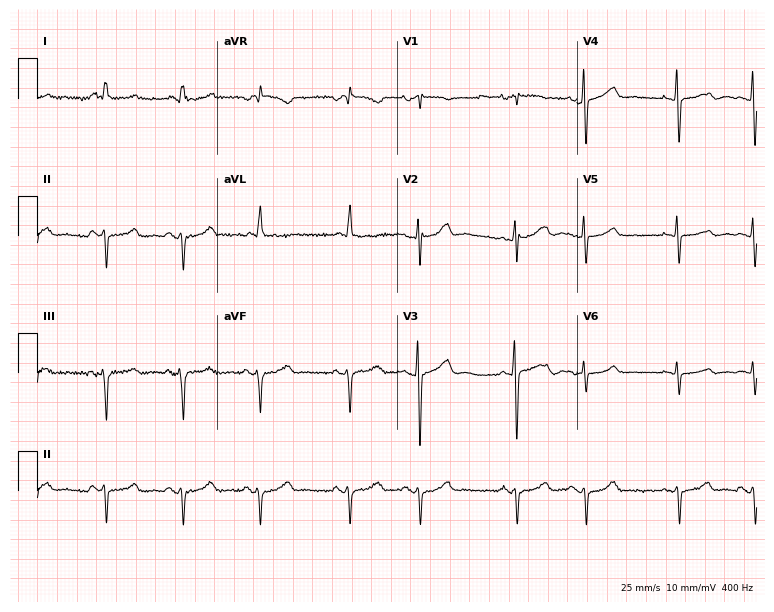
Resting 12-lead electrocardiogram. Patient: a female, 76 years old. None of these six findings is recorded: first-degree AV block, right bundle branch block, left bundle branch block, sinus bradycardia, atrial fibrillation, sinus tachycardia. Other findings, if any, are not listed.